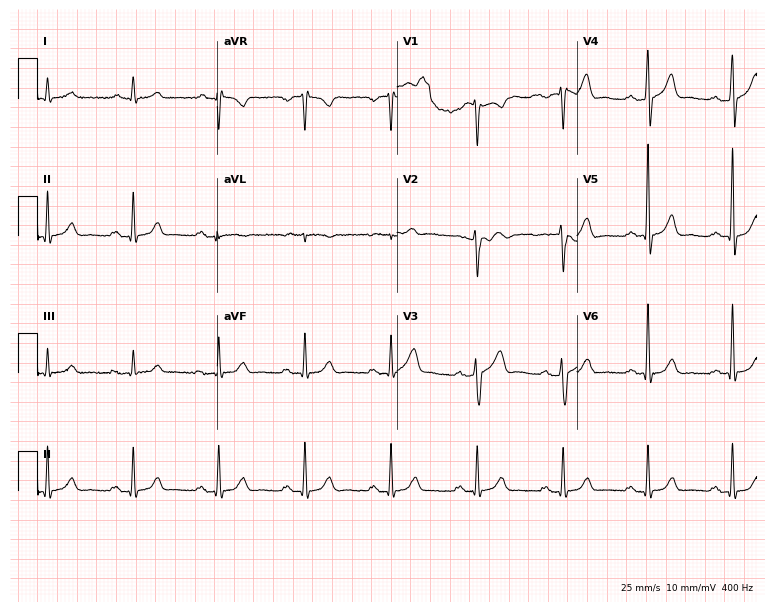
ECG (7.3-second recording at 400 Hz) — a 66-year-old male patient. Labelled as a normal ECG.